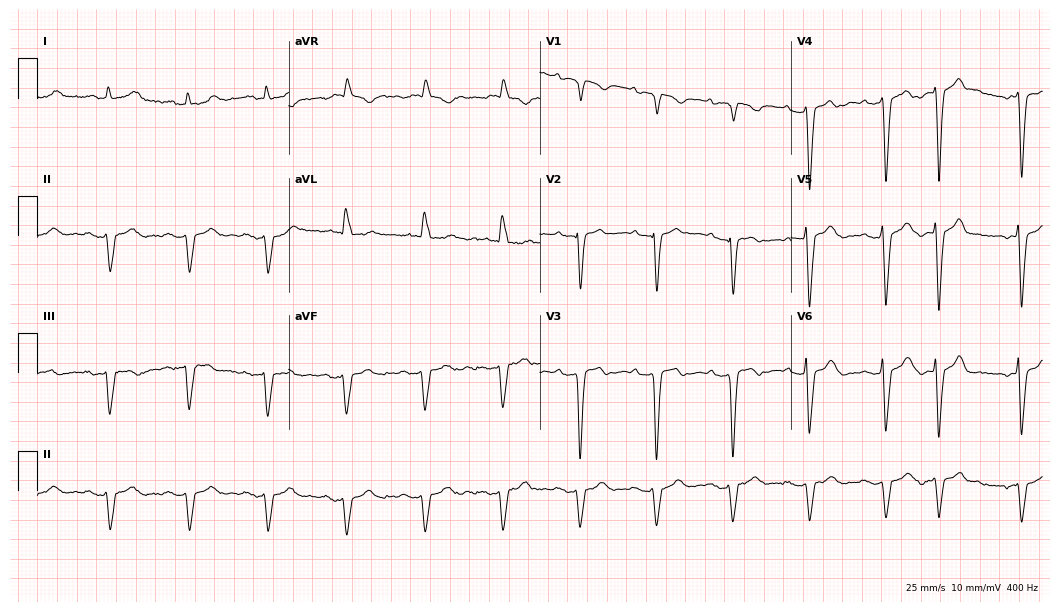
Resting 12-lead electrocardiogram. Patient: an 83-year-old male. None of these six findings is recorded: first-degree AV block, right bundle branch block (RBBB), left bundle branch block (LBBB), sinus bradycardia, atrial fibrillation (AF), sinus tachycardia.